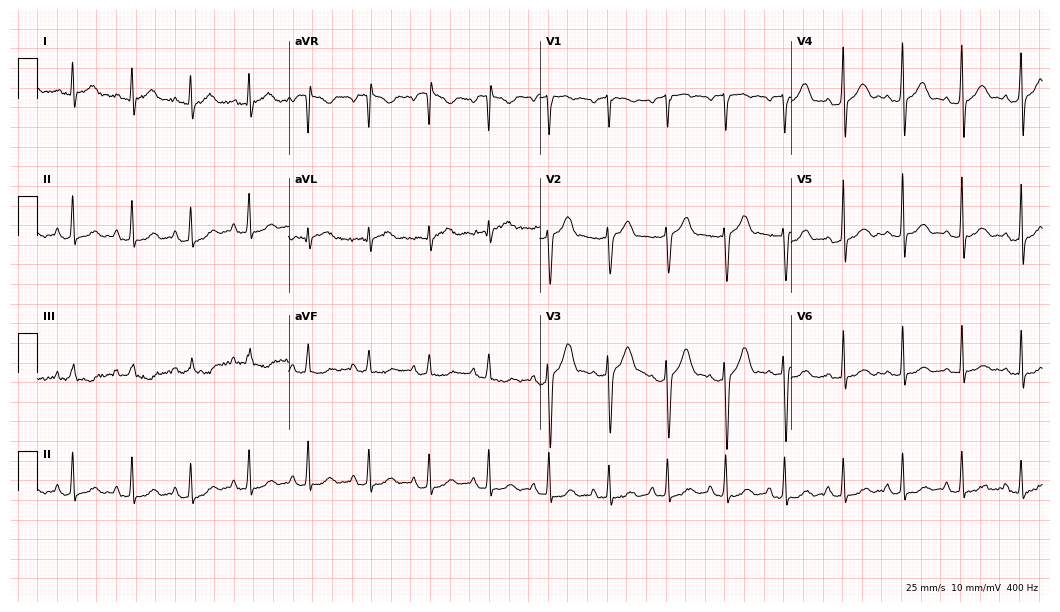
12-lead ECG from a 35-year-old male. Labelled as a normal ECG.